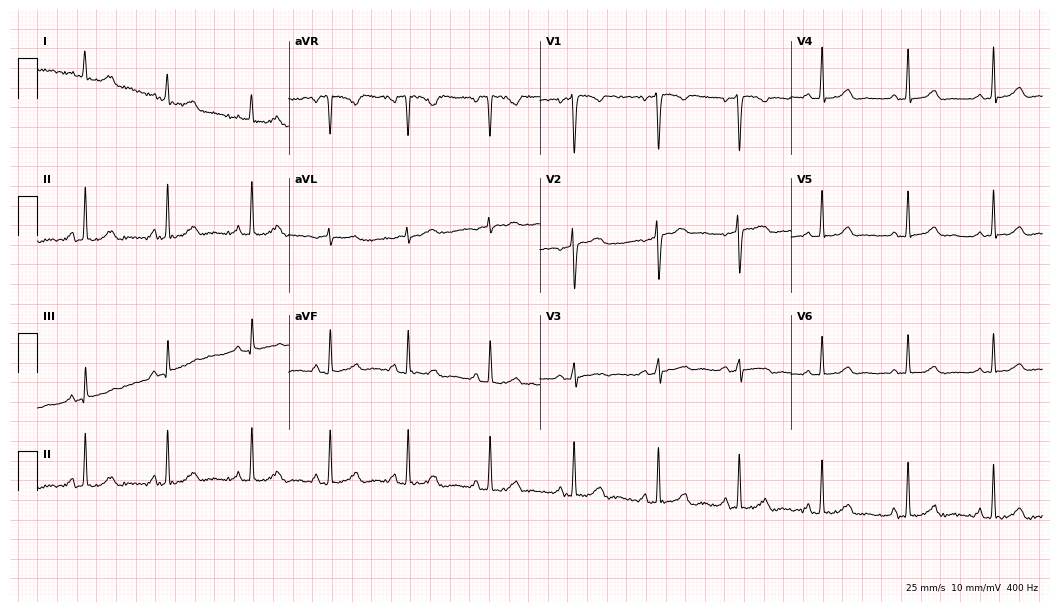
12-lead ECG from a woman, 29 years old (10.2-second recording at 400 Hz). Recorded interpretation: within normal limits.